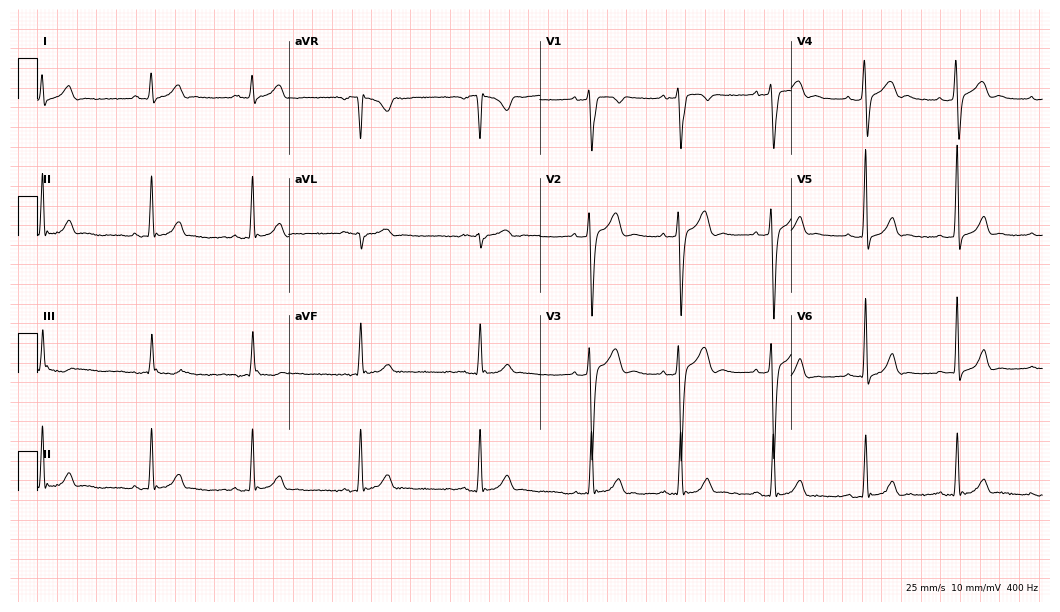
Standard 12-lead ECG recorded from a male patient, 37 years old. None of these six findings is recorded: first-degree AV block, right bundle branch block, left bundle branch block, sinus bradycardia, atrial fibrillation, sinus tachycardia.